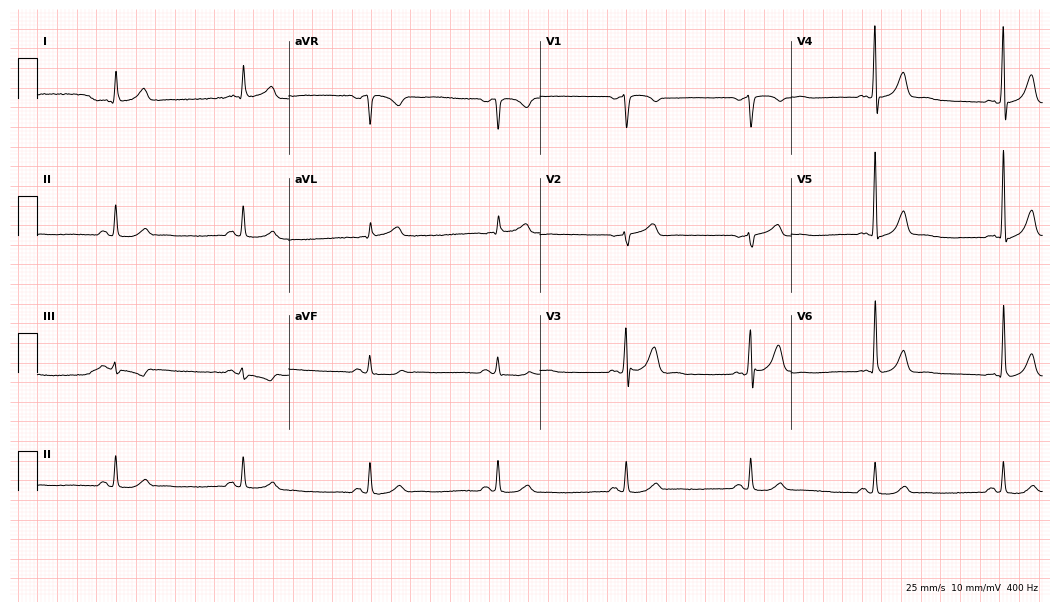
12-lead ECG from a 62-year-old male patient. No first-degree AV block, right bundle branch block, left bundle branch block, sinus bradycardia, atrial fibrillation or sinus tachycardia recorded for this tracing. Only these six findings were labelled.